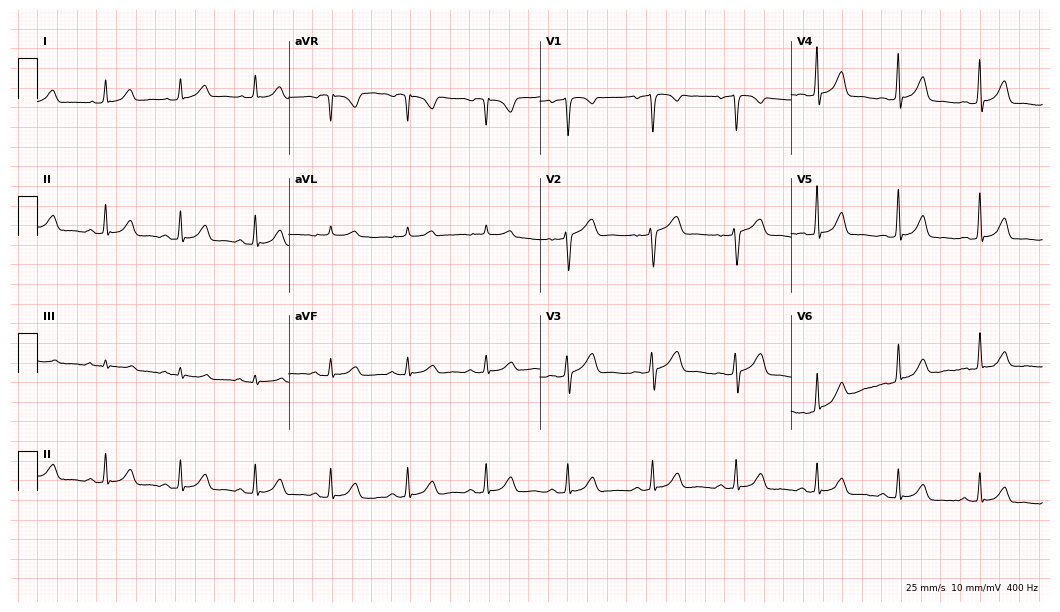
Electrocardiogram, a 47-year-old female. Overall reading on record: normal ECG.